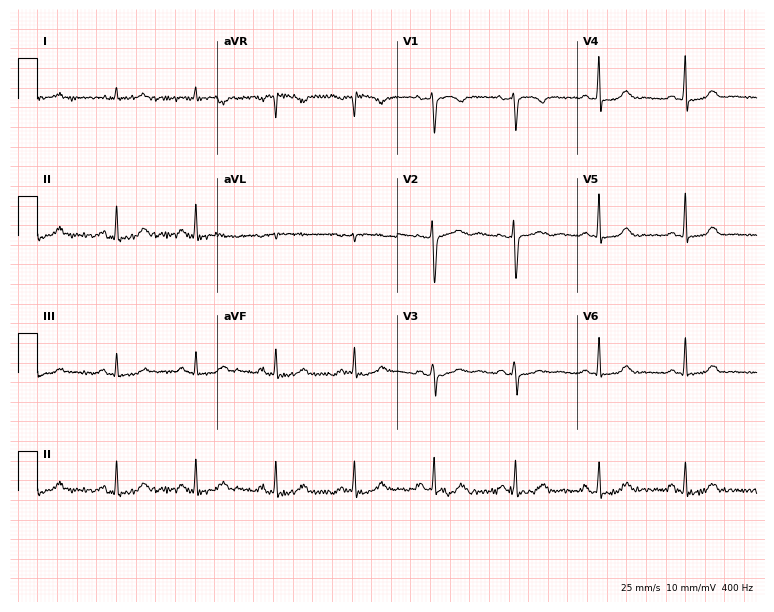
Resting 12-lead electrocardiogram (7.3-second recording at 400 Hz). Patient: a female, 35 years old. Read as a normal ECG.